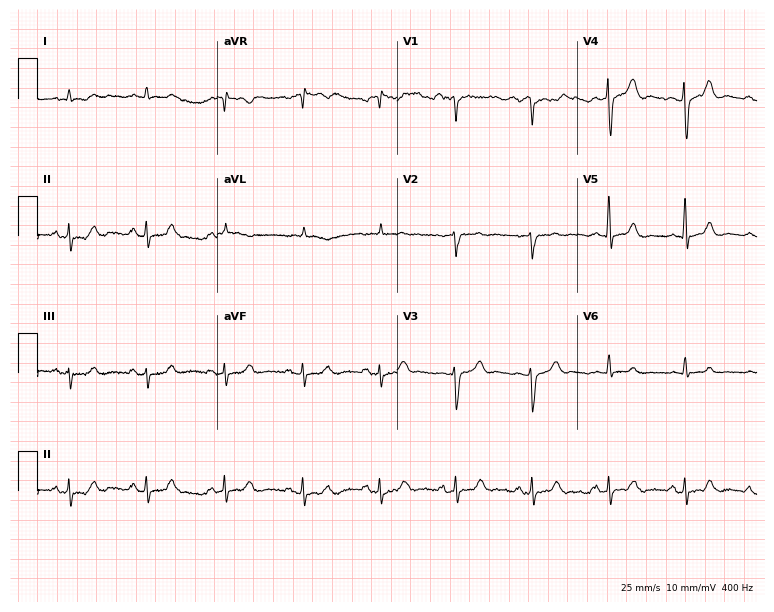
12-lead ECG (7.3-second recording at 400 Hz) from a 67-year-old male patient. Screened for six findings — first-degree AV block, right bundle branch block, left bundle branch block, sinus bradycardia, atrial fibrillation, sinus tachycardia — none is recorded. Only these six findings were labelled.